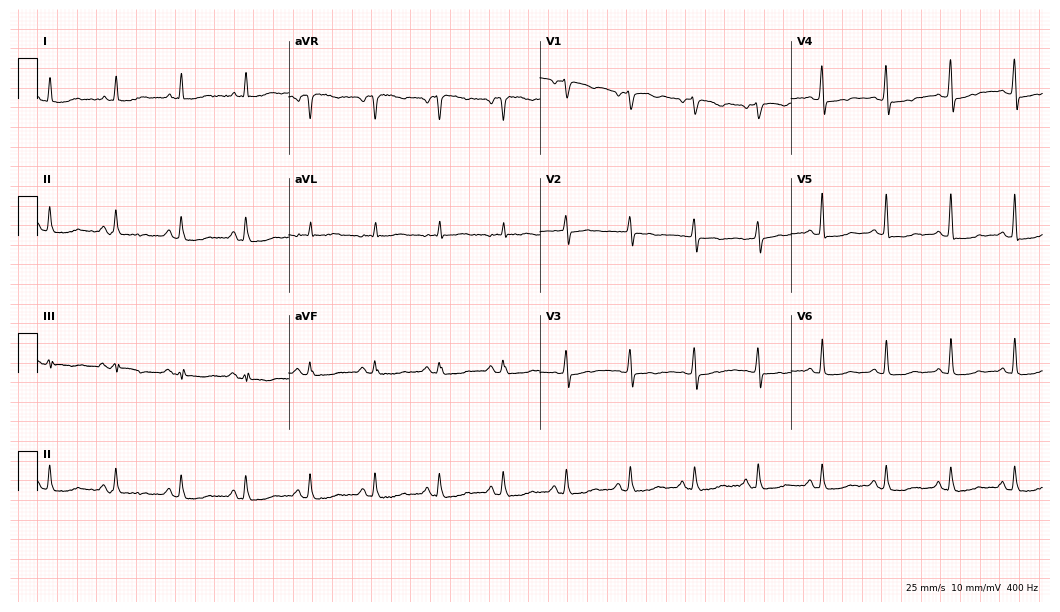
Standard 12-lead ECG recorded from a 69-year-old female. None of these six findings is recorded: first-degree AV block, right bundle branch block, left bundle branch block, sinus bradycardia, atrial fibrillation, sinus tachycardia. Other findings, if any, are not listed.